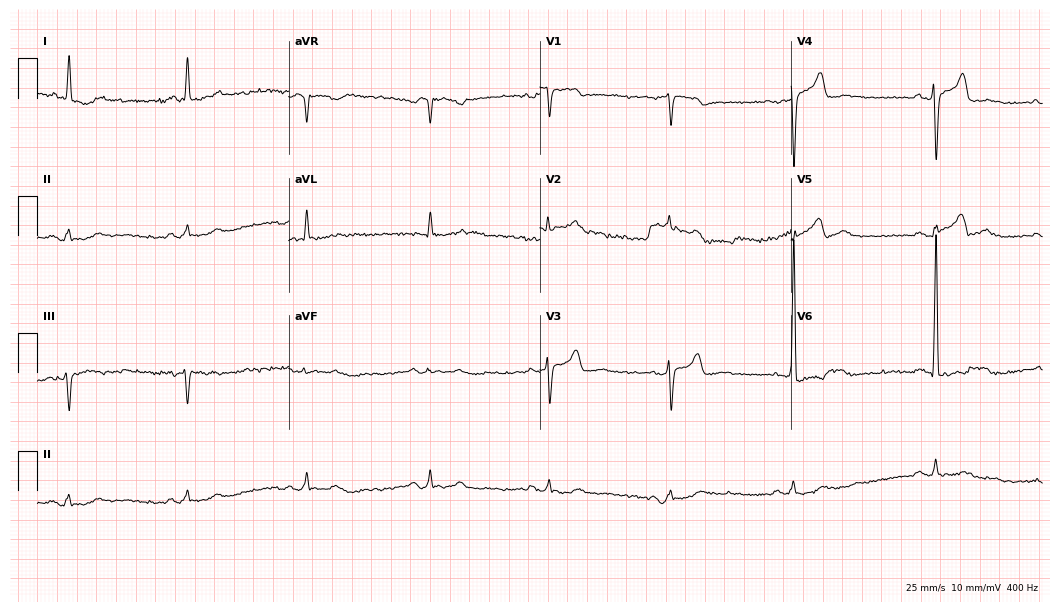
ECG (10.2-second recording at 400 Hz) — a 69-year-old male patient. Screened for six findings — first-degree AV block, right bundle branch block (RBBB), left bundle branch block (LBBB), sinus bradycardia, atrial fibrillation (AF), sinus tachycardia — none is recorded. Other findings, if any, are not listed.